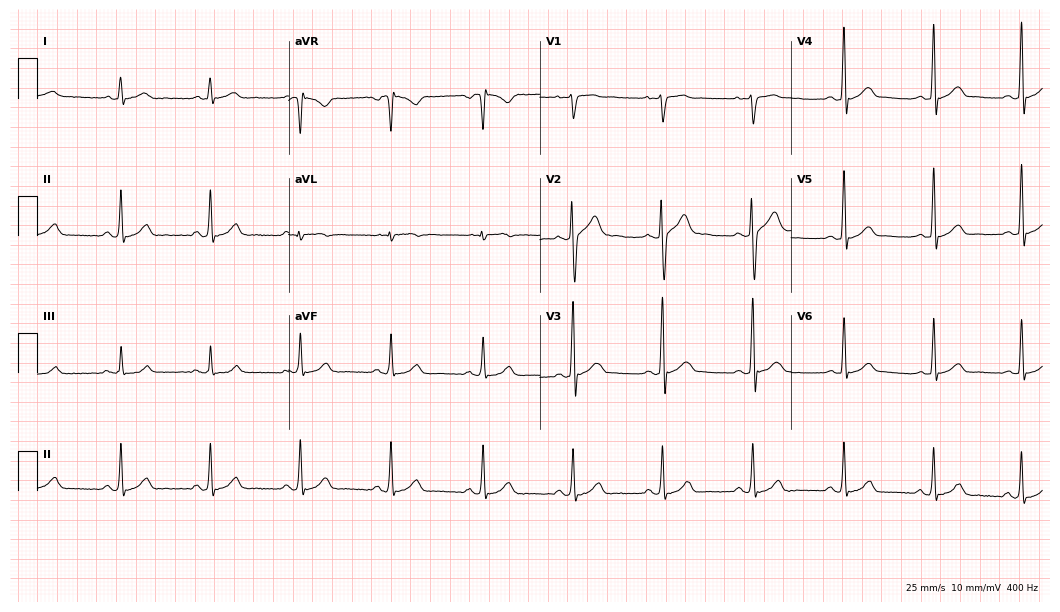
Electrocardiogram, a male, 24 years old. Overall reading on record: normal ECG.